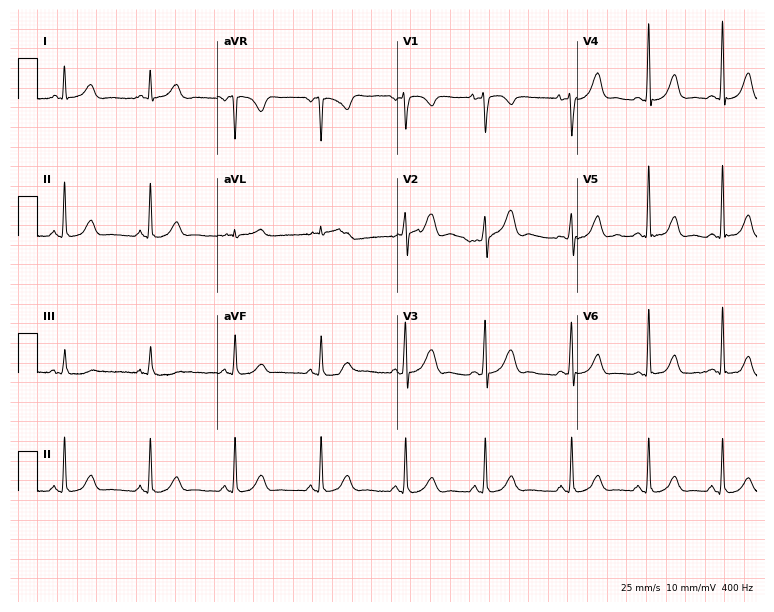
12-lead ECG (7.3-second recording at 400 Hz) from a female, 25 years old. Labelled as a normal ECG.